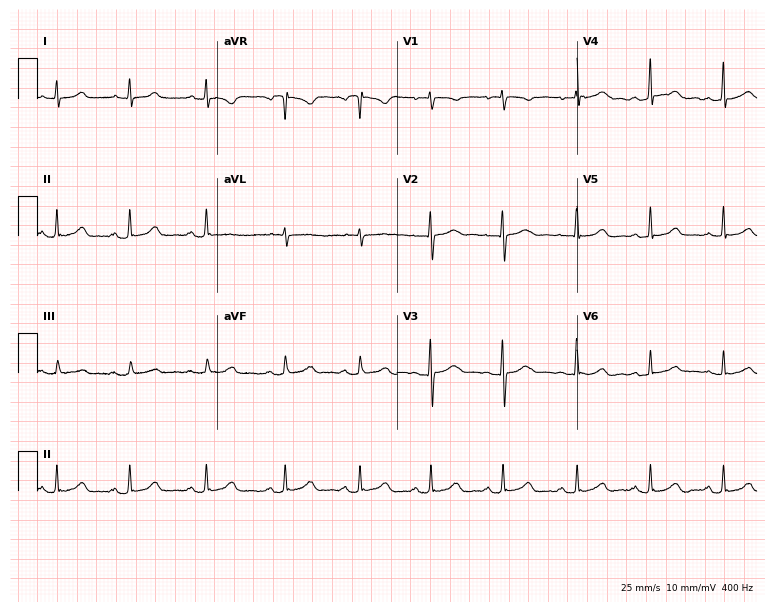
ECG — a woman, 24 years old. Labelled as a normal ECG.